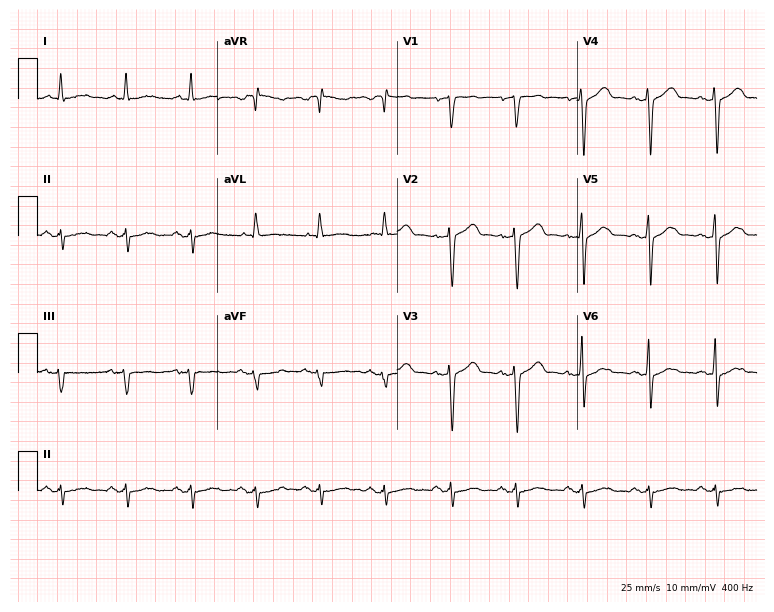
12-lead ECG from a 61-year-old male patient. Screened for six findings — first-degree AV block, right bundle branch block, left bundle branch block, sinus bradycardia, atrial fibrillation, sinus tachycardia — none is recorded. Only these six findings were labelled.